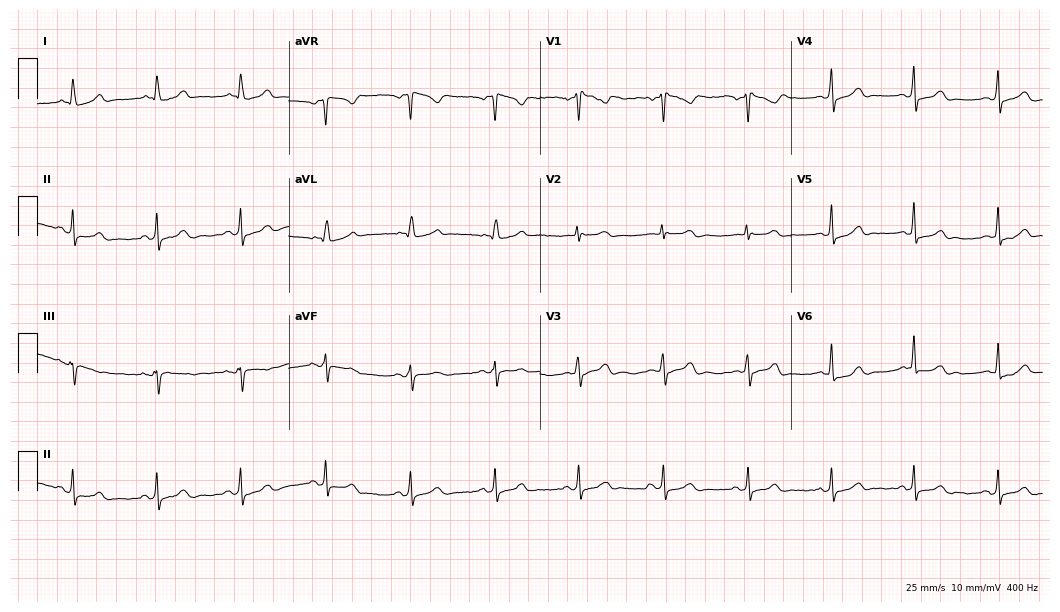
12-lead ECG (10.2-second recording at 400 Hz) from a female, 58 years old. Labelled as a normal ECG.